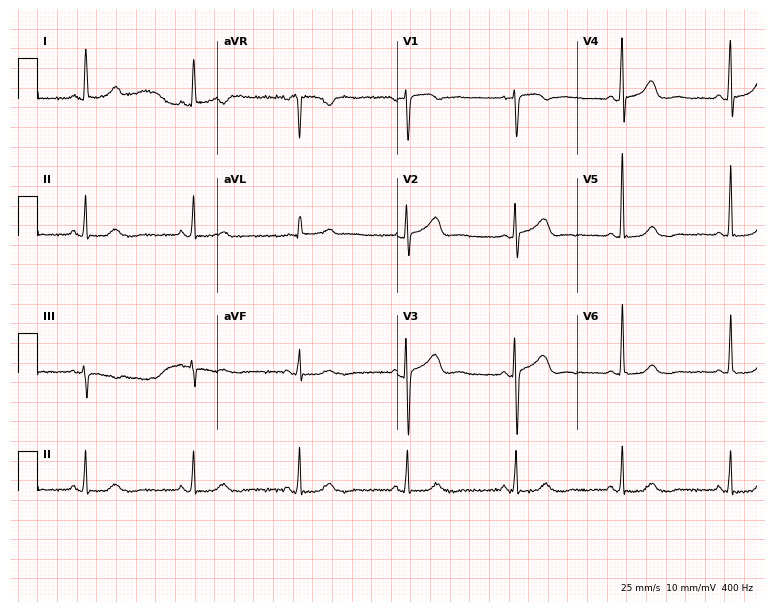
12-lead ECG from an 80-year-old female patient (7.3-second recording at 400 Hz). No first-degree AV block, right bundle branch block, left bundle branch block, sinus bradycardia, atrial fibrillation or sinus tachycardia recorded for this tracing.